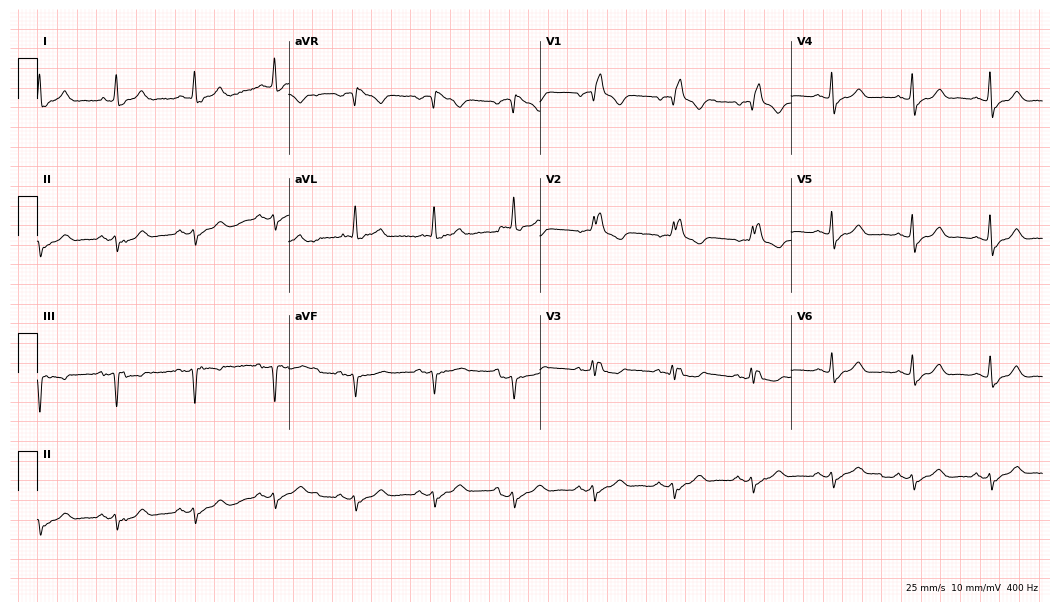
Electrocardiogram (10.2-second recording at 400 Hz), a 76-year-old woman. Interpretation includes right bundle branch block.